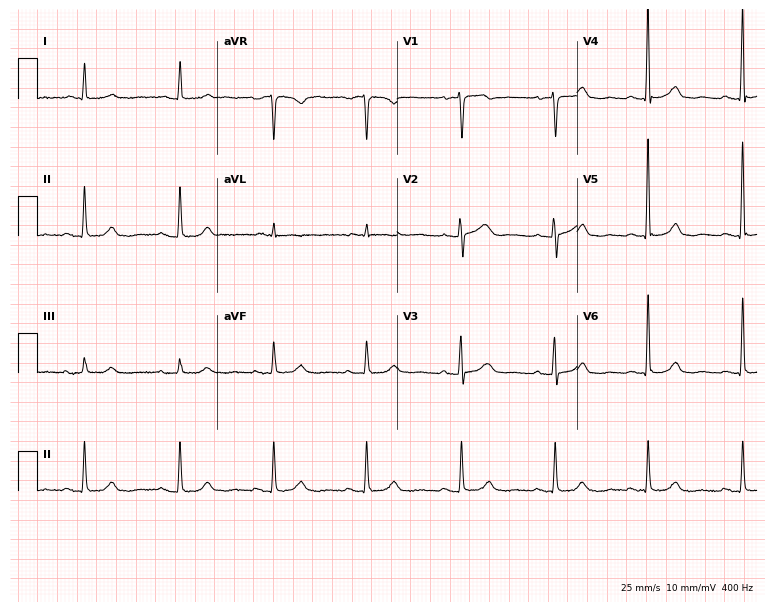
Standard 12-lead ECG recorded from a female patient, 74 years old. None of these six findings is recorded: first-degree AV block, right bundle branch block (RBBB), left bundle branch block (LBBB), sinus bradycardia, atrial fibrillation (AF), sinus tachycardia.